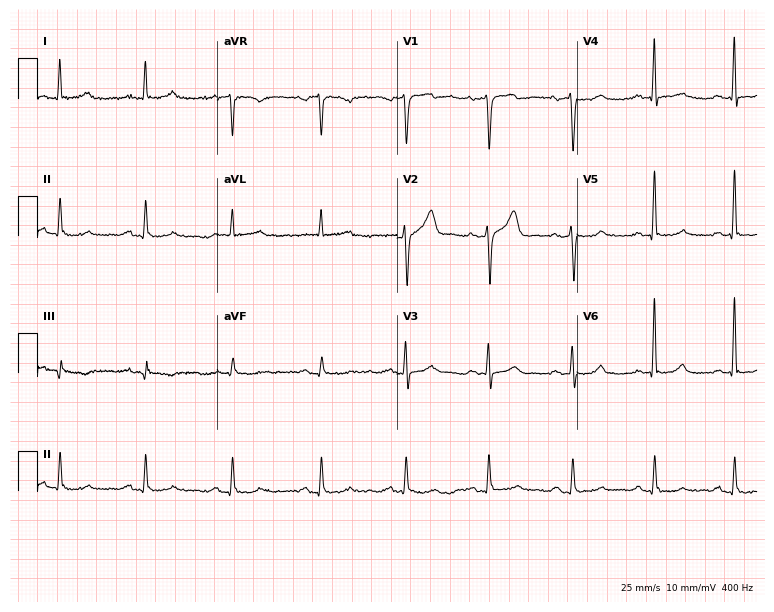
ECG (7.3-second recording at 400 Hz) — a man, 51 years old. Labelled as a normal ECG.